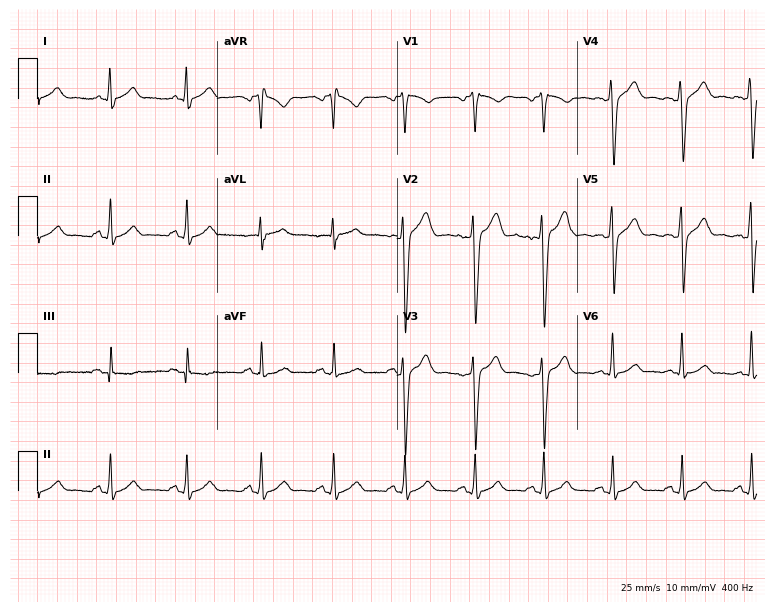
12-lead ECG (7.3-second recording at 400 Hz) from a male patient, 36 years old. Labelled as a normal ECG.